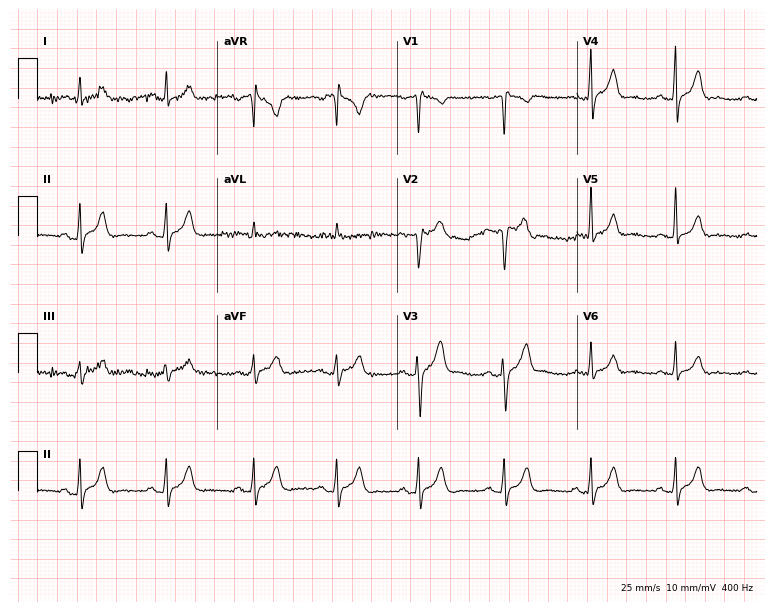
Resting 12-lead electrocardiogram (7.3-second recording at 400 Hz). Patient: a male, 34 years old. Read as a normal ECG.